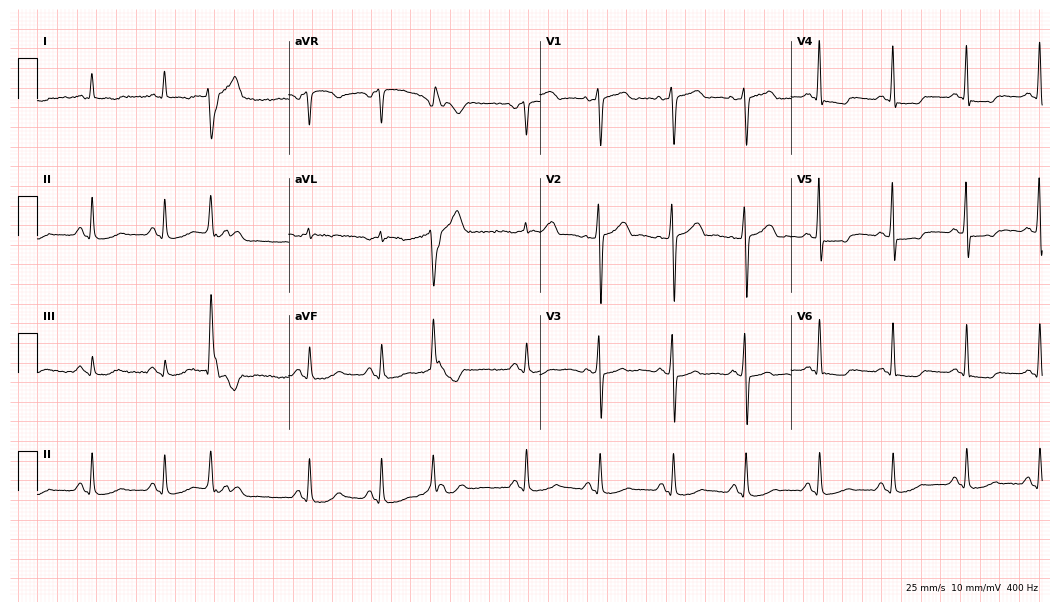
ECG (10.2-second recording at 400 Hz) — a 73-year-old male. Screened for six findings — first-degree AV block, right bundle branch block (RBBB), left bundle branch block (LBBB), sinus bradycardia, atrial fibrillation (AF), sinus tachycardia — none is recorded.